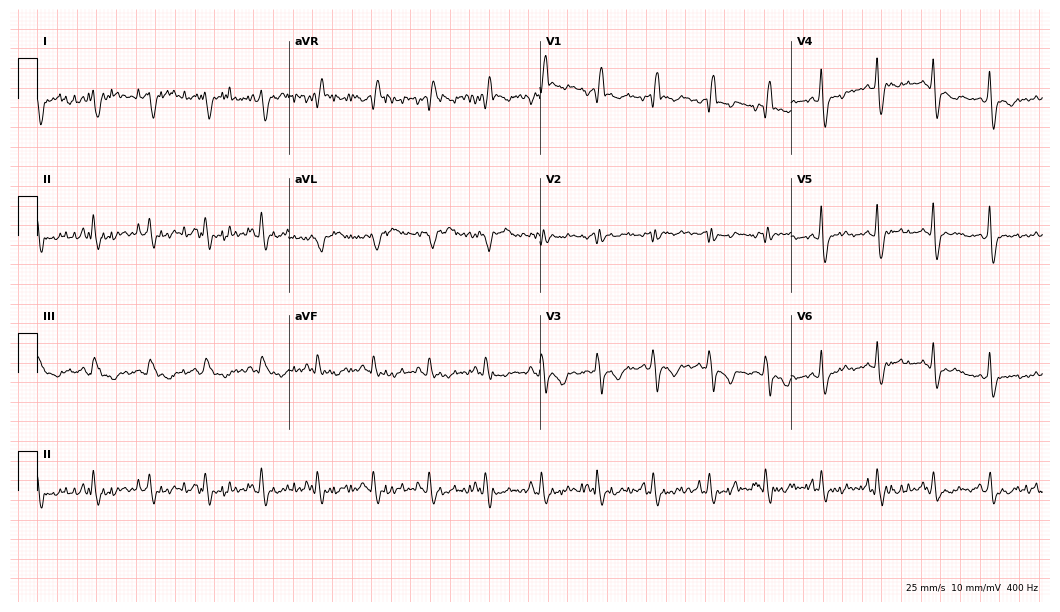
12-lead ECG (10.2-second recording at 400 Hz) from an 81-year-old woman. Screened for six findings — first-degree AV block, right bundle branch block, left bundle branch block, sinus bradycardia, atrial fibrillation, sinus tachycardia — none is recorded.